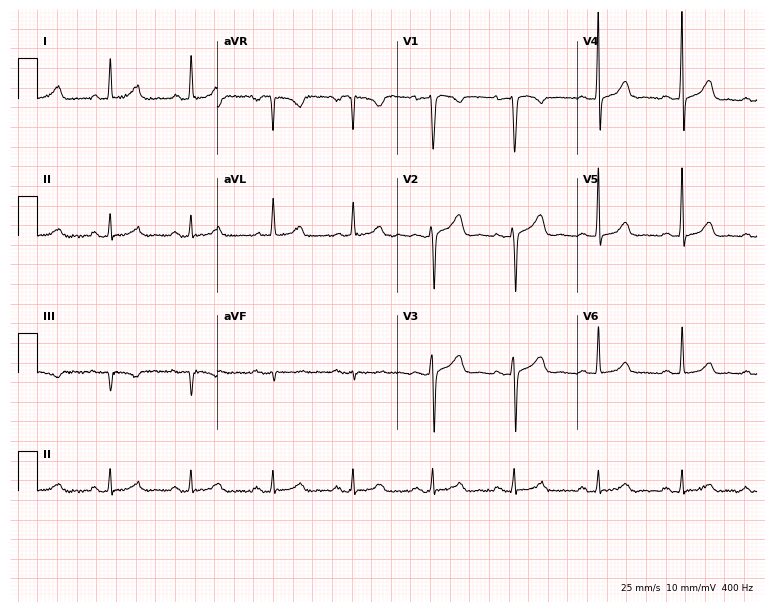
Standard 12-lead ECG recorded from a female patient, 36 years old (7.3-second recording at 400 Hz). None of these six findings is recorded: first-degree AV block, right bundle branch block (RBBB), left bundle branch block (LBBB), sinus bradycardia, atrial fibrillation (AF), sinus tachycardia. Findings outside these six are not listed.